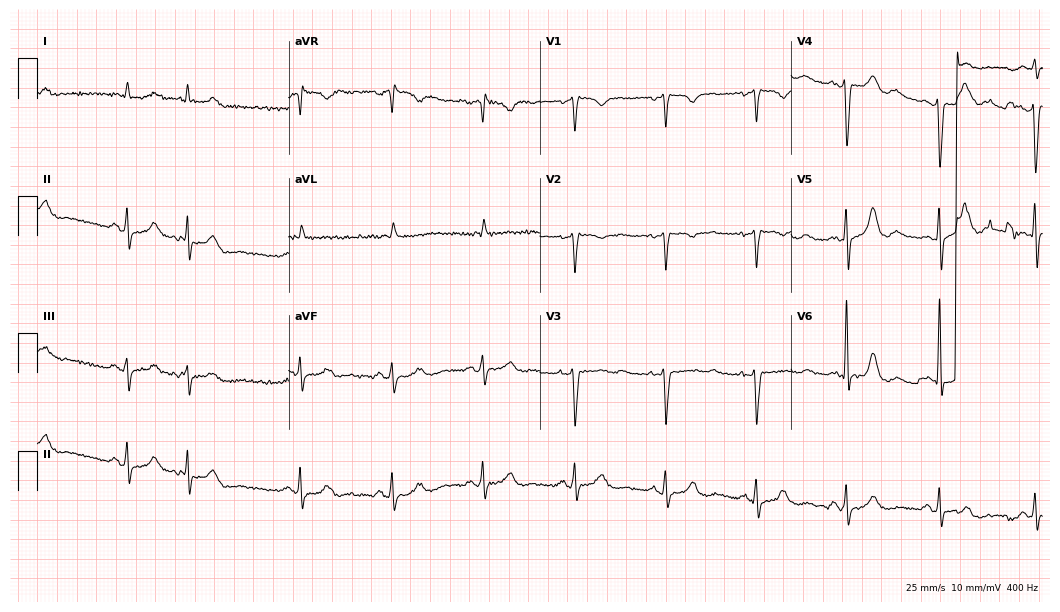
Electrocardiogram (10.2-second recording at 400 Hz), a 78-year-old male. Of the six screened findings (first-degree AV block, right bundle branch block, left bundle branch block, sinus bradycardia, atrial fibrillation, sinus tachycardia), none is recorded. Only these six findings were labelled.